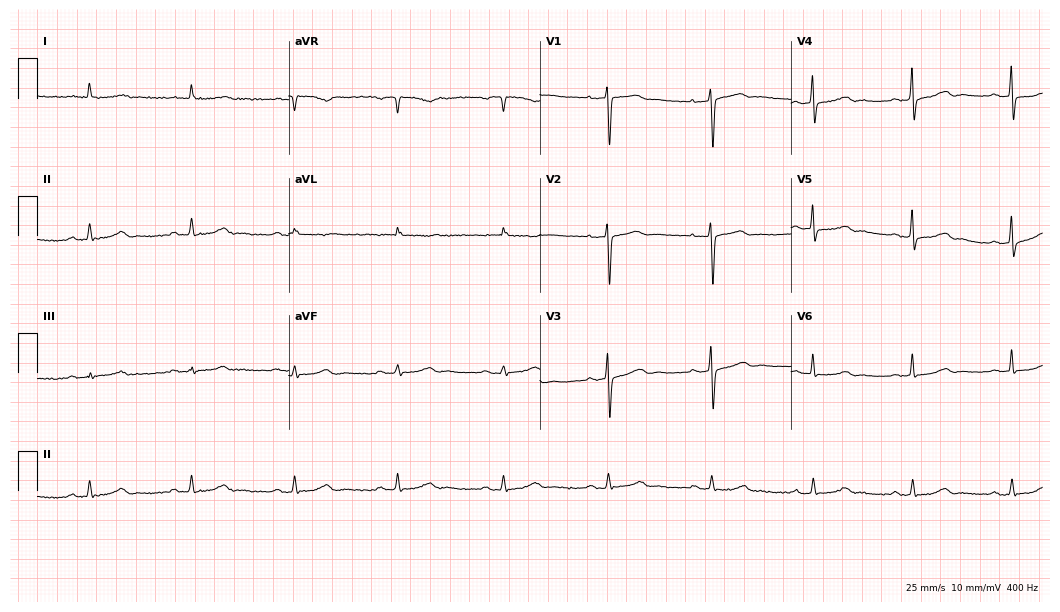
12-lead ECG from an 83-year-old female. No first-degree AV block, right bundle branch block (RBBB), left bundle branch block (LBBB), sinus bradycardia, atrial fibrillation (AF) or sinus tachycardia recorded for this tracing.